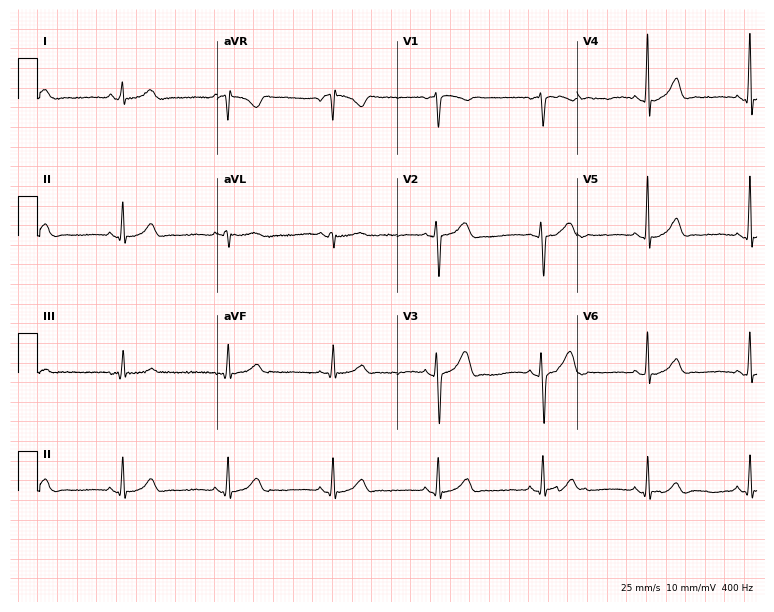
Electrocardiogram (7.3-second recording at 400 Hz), a male patient, 26 years old. Overall reading on record: normal ECG.